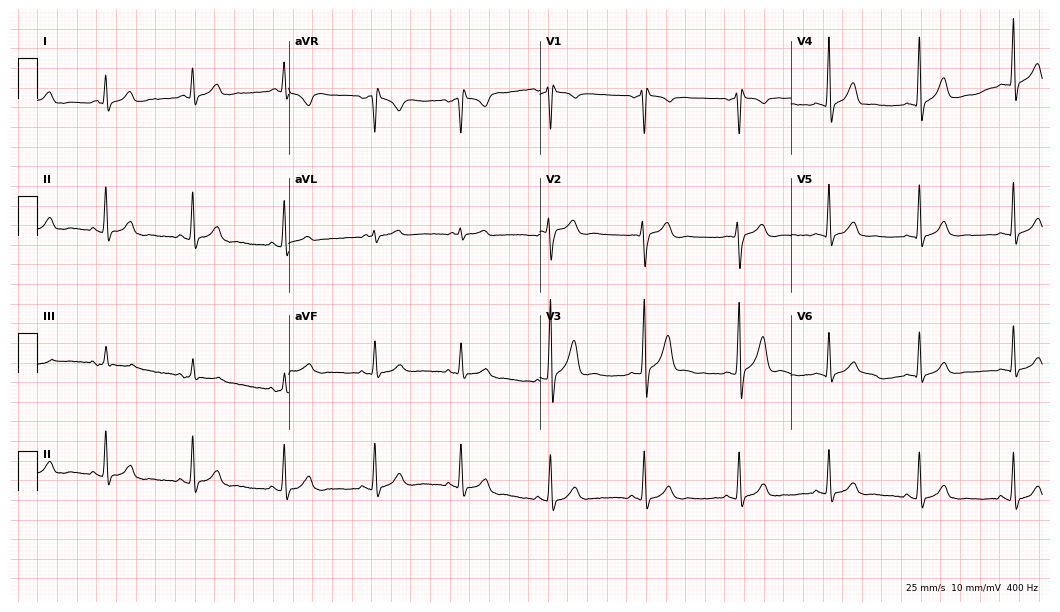
Standard 12-lead ECG recorded from a 33-year-old male patient. Read as a normal ECG.